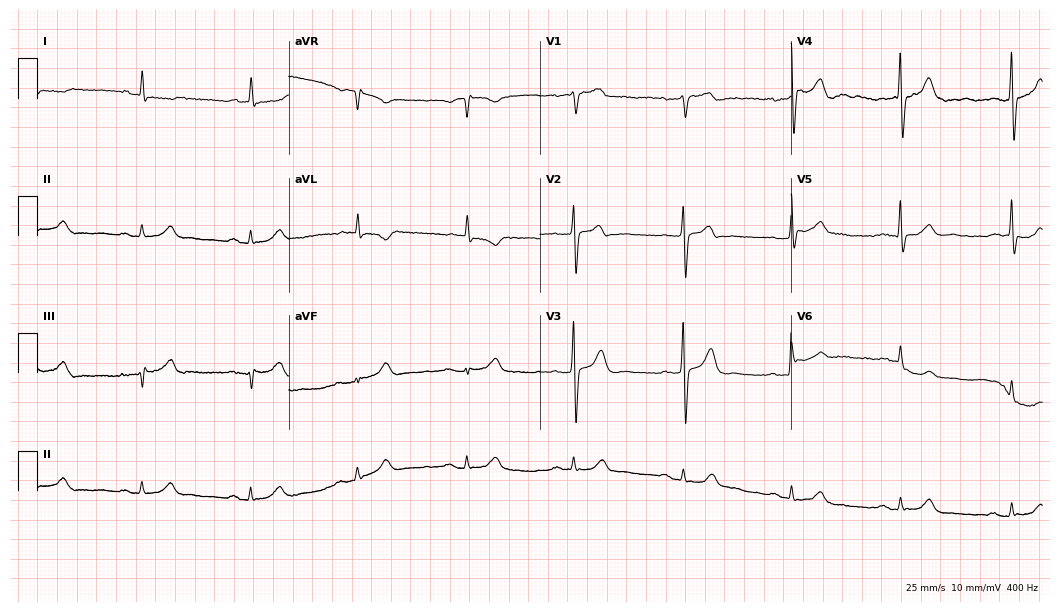
12-lead ECG (10.2-second recording at 400 Hz) from a 69-year-old man. Screened for six findings — first-degree AV block, right bundle branch block, left bundle branch block, sinus bradycardia, atrial fibrillation, sinus tachycardia — none is recorded.